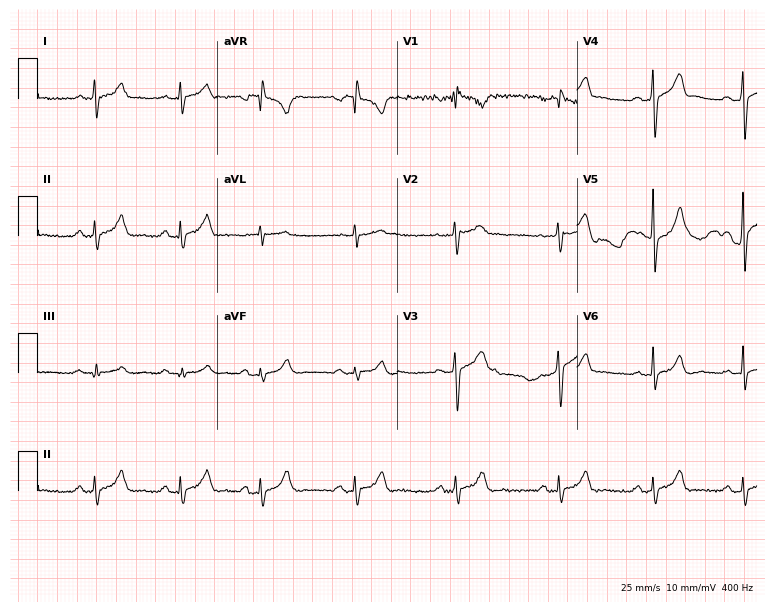
Resting 12-lead electrocardiogram. Patient: a 36-year-old man. None of these six findings is recorded: first-degree AV block, right bundle branch block, left bundle branch block, sinus bradycardia, atrial fibrillation, sinus tachycardia. Other findings, if any, are not listed.